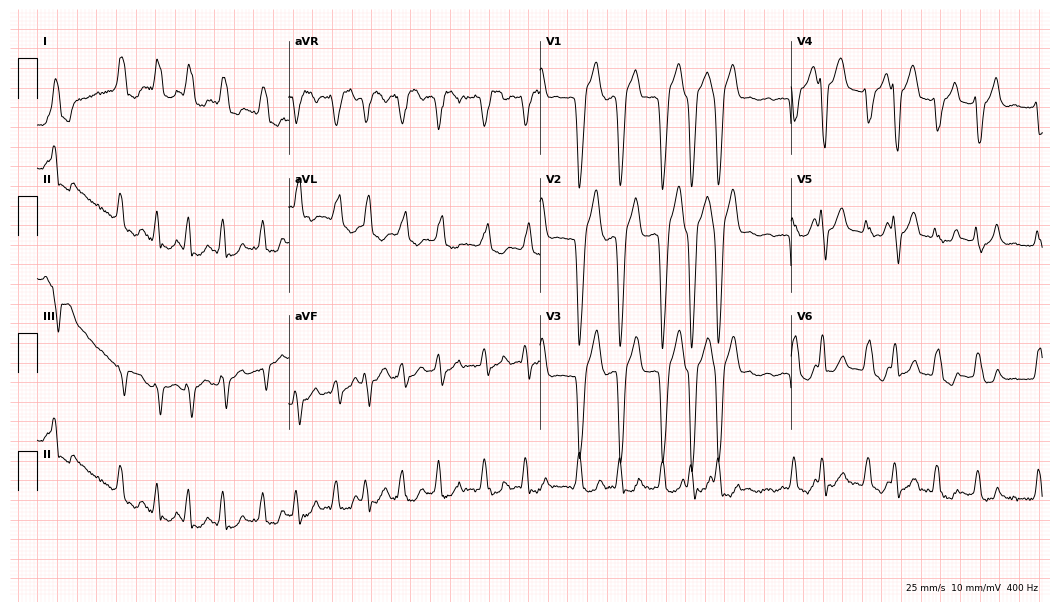
ECG — a woman, 67 years old. Findings include left bundle branch block, atrial fibrillation, sinus tachycardia (a sinus rate of 100 beats per minute or more).